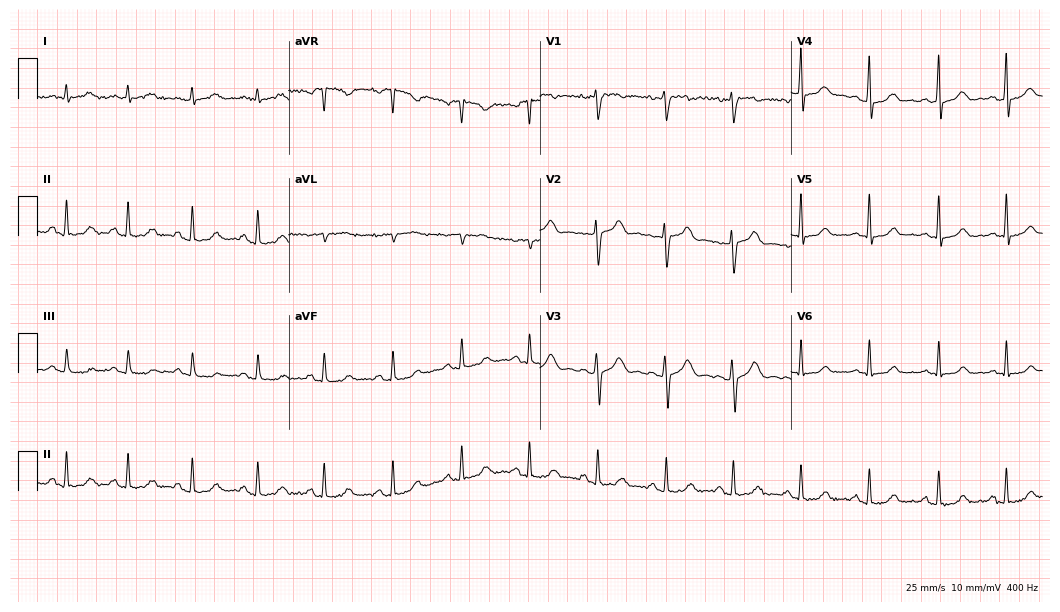
Resting 12-lead electrocardiogram. Patient: a 41-year-old female. Read as a normal ECG.